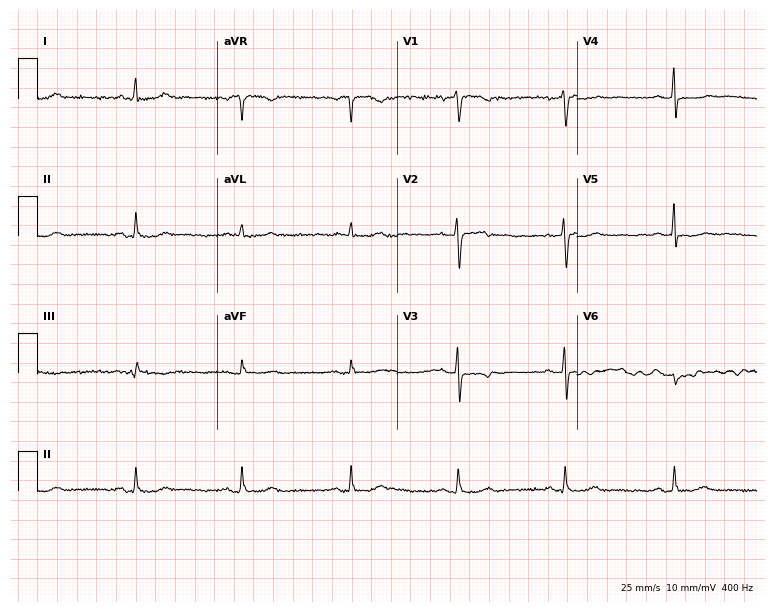
12-lead ECG from a female, 59 years old. Labelled as a normal ECG.